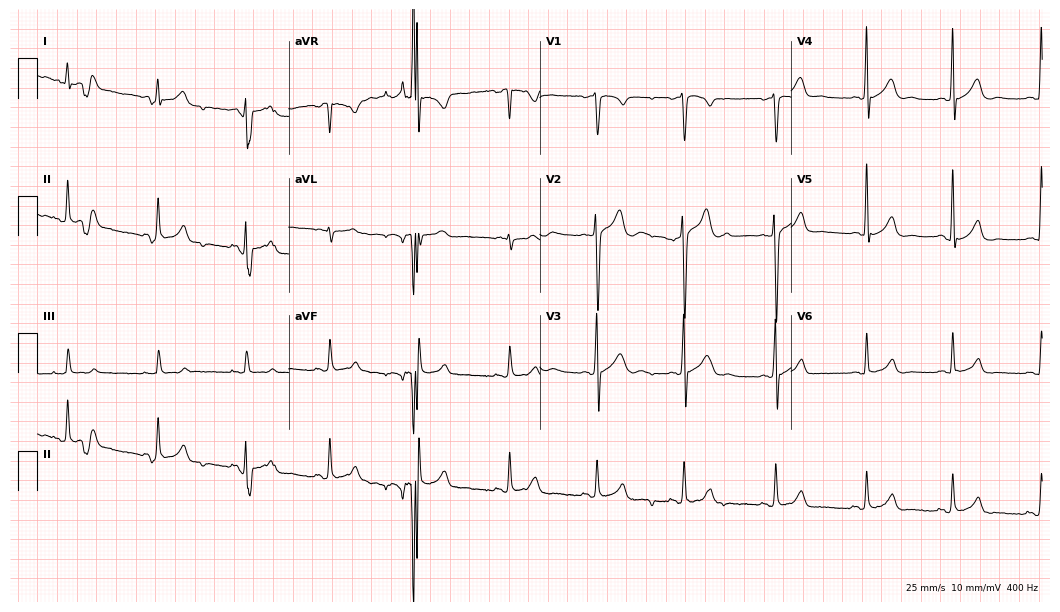
Resting 12-lead electrocardiogram (10.2-second recording at 400 Hz). Patient: a 21-year-old man. Read as a normal ECG.